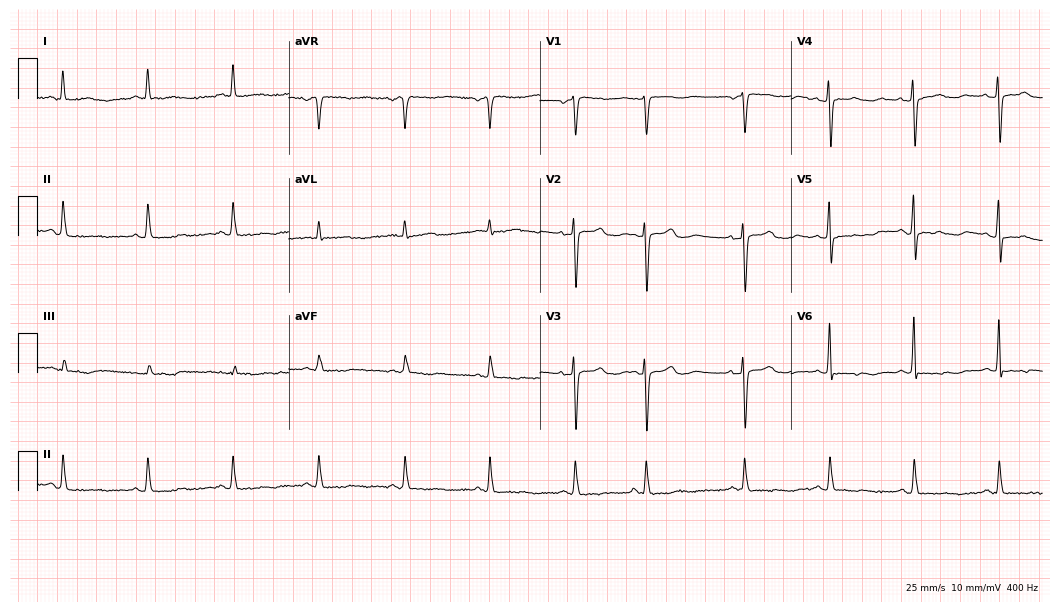
Electrocardiogram, a female patient, 80 years old. Of the six screened findings (first-degree AV block, right bundle branch block, left bundle branch block, sinus bradycardia, atrial fibrillation, sinus tachycardia), none is recorded.